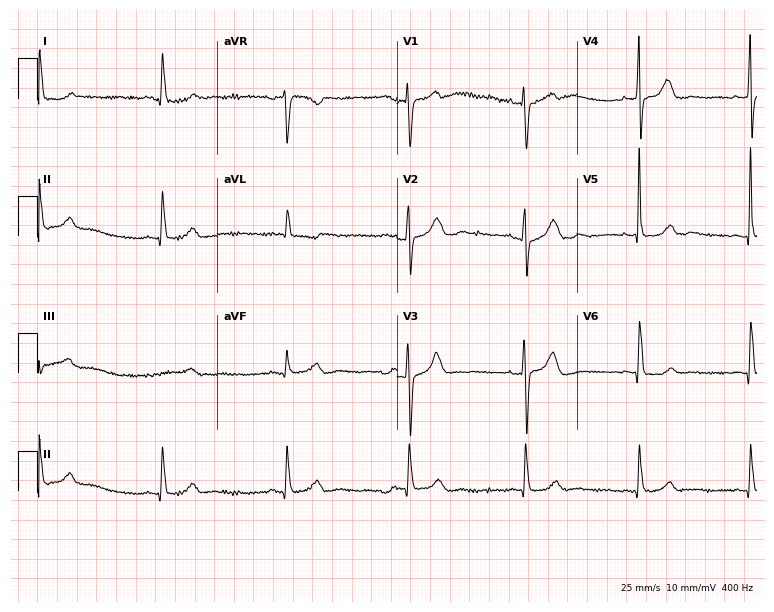
Electrocardiogram, a female patient, 59 years old. Overall reading on record: normal ECG.